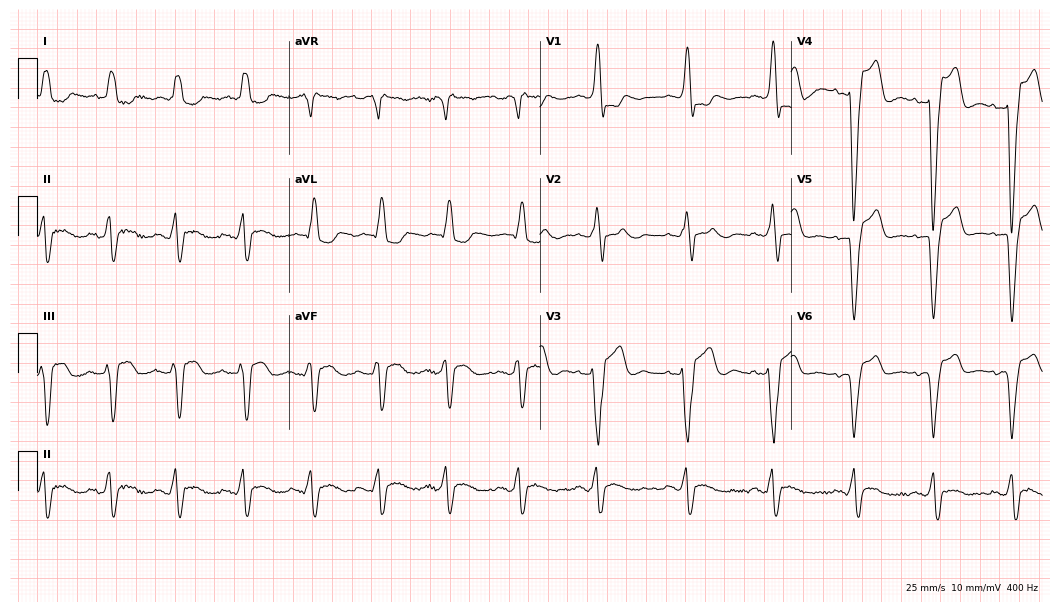
Resting 12-lead electrocardiogram (10.2-second recording at 400 Hz). Patient: a 66-year-old woman. None of these six findings is recorded: first-degree AV block, right bundle branch block, left bundle branch block, sinus bradycardia, atrial fibrillation, sinus tachycardia.